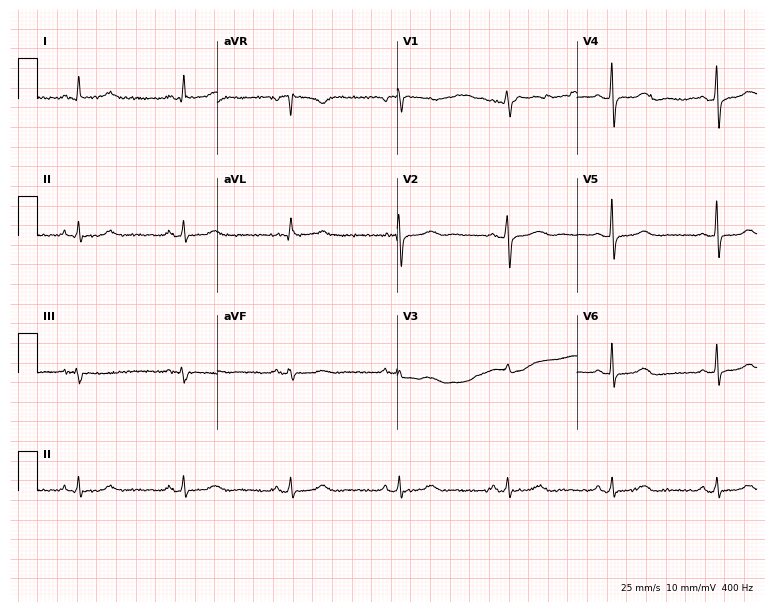
Electrocardiogram (7.3-second recording at 400 Hz), a woman, 79 years old. Overall reading on record: normal ECG.